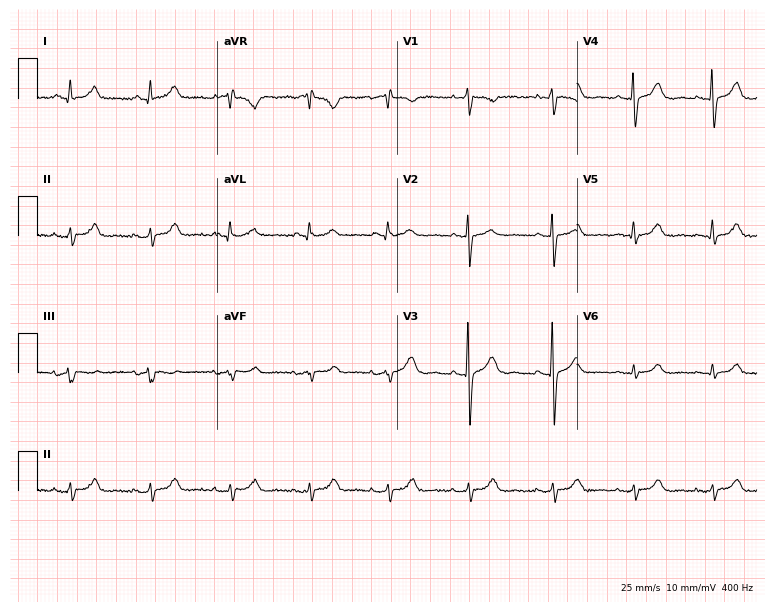
12-lead ECG from a 72-year-old woman. No first-degree AV block, right bundle branch block (RBBB), left bundle branch block (LBBB), sinus bradycardia, atrial fibrillation (AF) or sinus tachycardia recorded for this tracing.